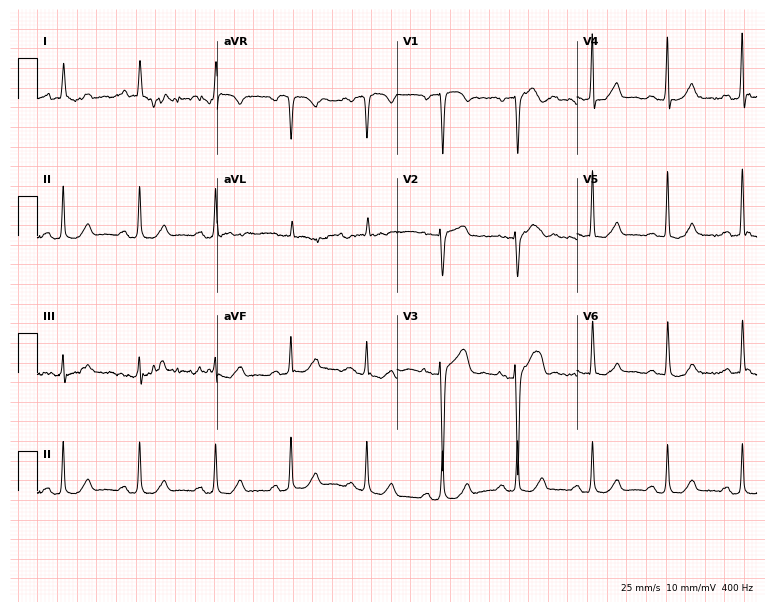
Standard 12-lead ECG recorded from a female, 55 years old (7.3-second recording at 400 Hz). Read as a normal ECG.